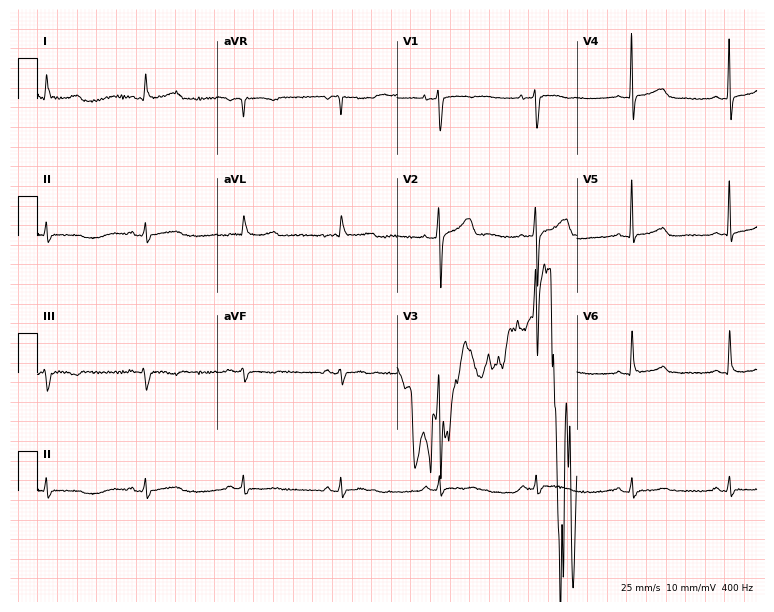
Standard 12-lead ECG recorded from a woman, 69 years old (7.3-second recording at 400 Hz). None of these six findings is recorded: first-degree AV block, right bundle branch block, left bundle branch block, sinus bradycardia, atrial fibrillation, sinus tachycardia.